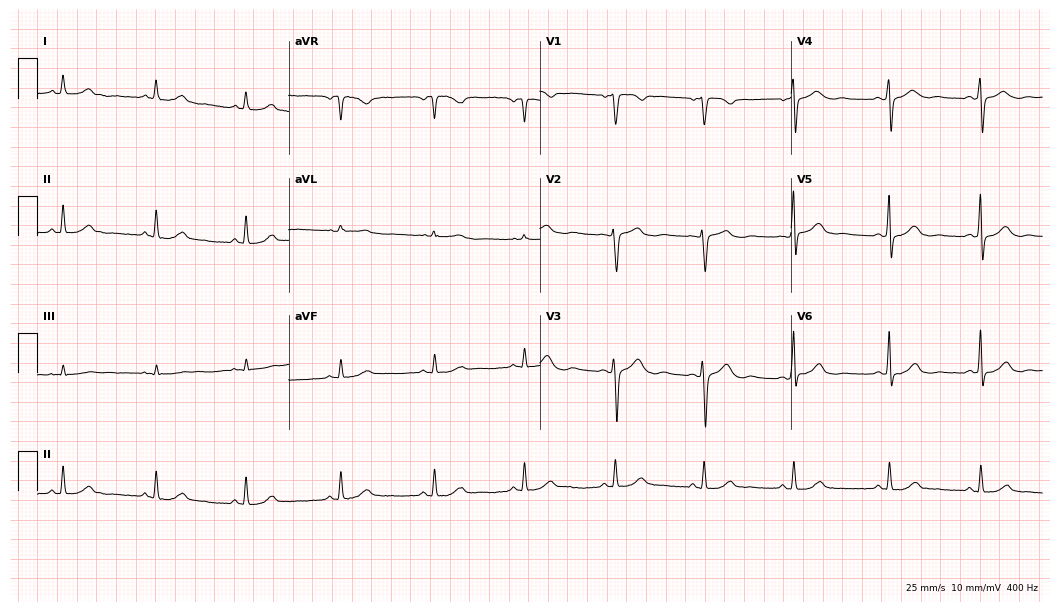
Resting 12-lead electrocardiogram (10.2-second recording at 400 Hz). Patient: a 40-year-old woman. Read as a normal ECG.